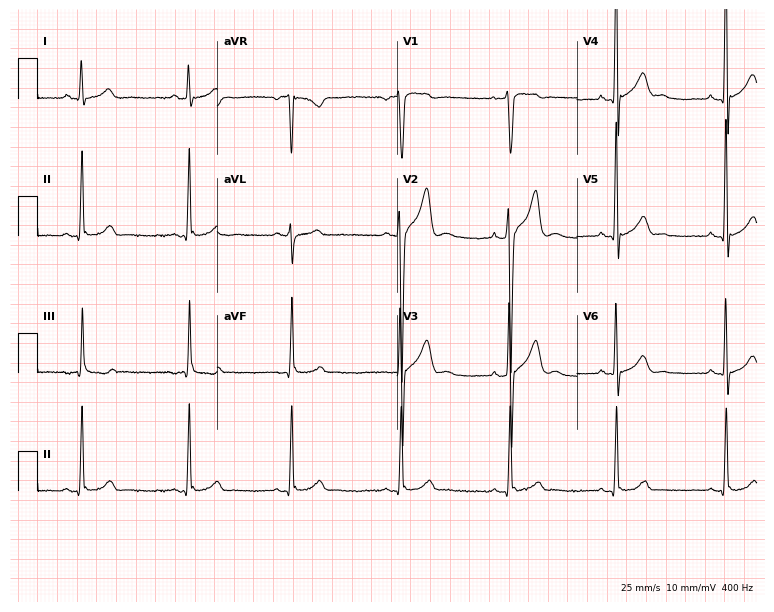
Standard 12-lead ECG recorded from a male, 28 years old (7.3-second recording at 400 Hz). None of these six findings is recorded: first-degree AV block, right bundle branch block, left bundle branch block, sinus bradycardia, atrial fibrillation, sinus tachycardia. Findings outside these six are not listed.